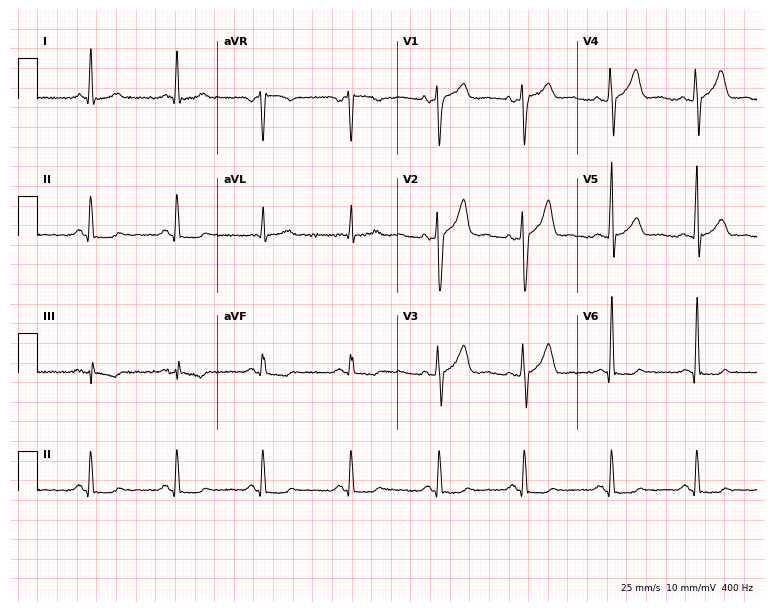
Resting 12-lead electrocardiogram. Patient: a 57-year-old male. None of these six findings is recorded: first-degree AV block, right bundle branch block (RBBB), left bundle branch block (LBBB), sinus bradycardia, atrial fibrillation (AF), sinus tachycardia. Other findings, if any, are not listed.